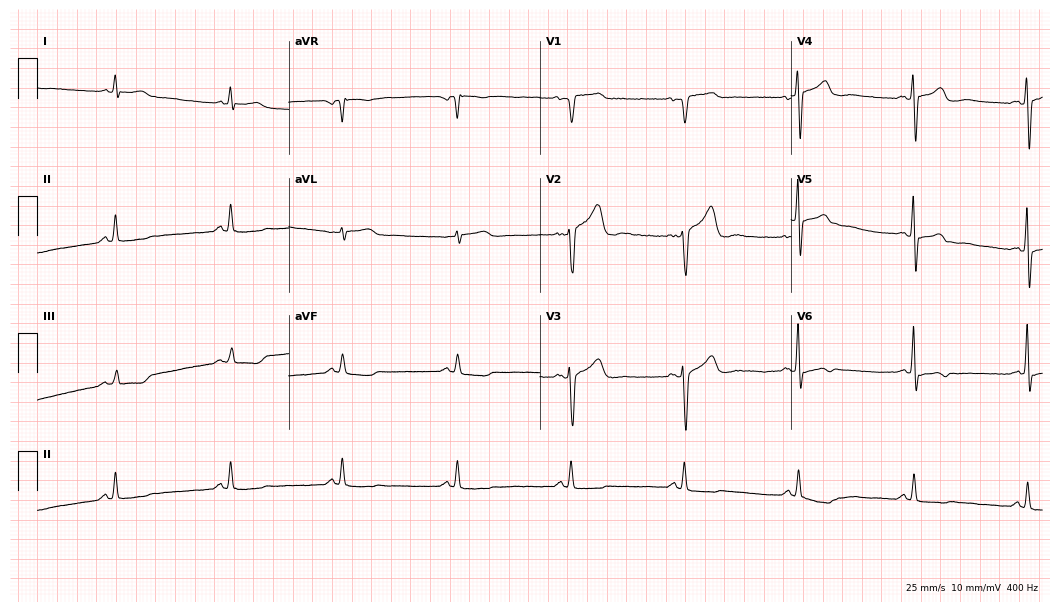
12-lead ECG from a male patient, 70 years old (10.2-second recording at 400 Hz). No first-degree AV block, right bundle branch block, left bundle branch block, sinus bradycardia, atrial fibrillation or sinus tachycardia recorded for this tracing. Other findings, if any, are not listed.